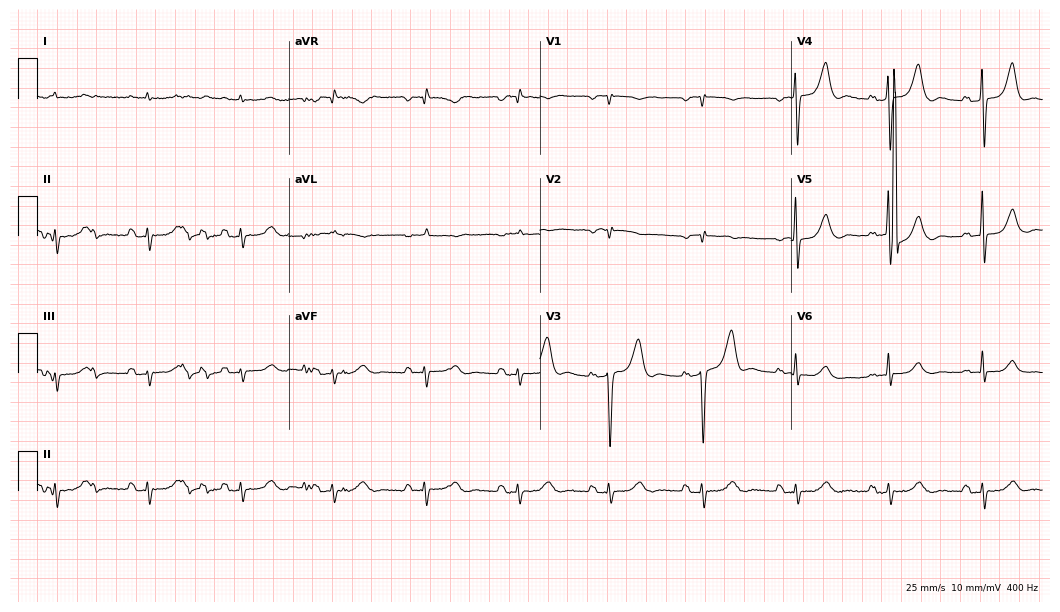
Standard 12-lead ECG recorded from an 84-year-old male (10.2-second recording at 400 Hz). None of these six findings is recorded: first-degree AV block, right bundle branch block (RBBB), left bundle branch block (LBBB), sinus bradycardia, atrial fibrillation (AF), sinus tachycardia.